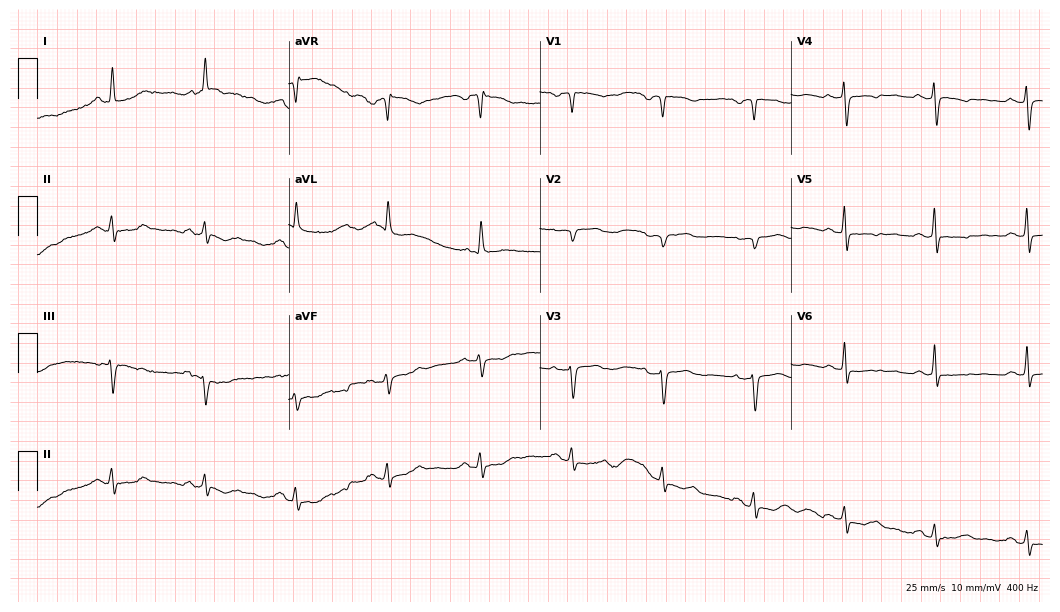
ECG — a 62-year-old woman. Screened for six findings — first-degree AV block, right bundle branch block (RBBB), left bundle branch block (LBBB), sinus bradycardia, atrial fibrillation (AF), sinus tachycardia — none is recorded.